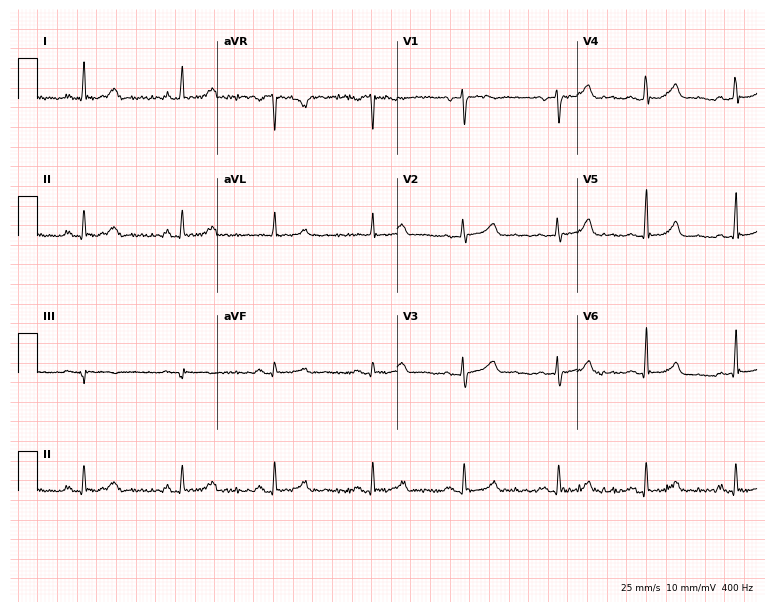
12-lead ECG from a female, 34 years old. Labelled as a normal ECG.